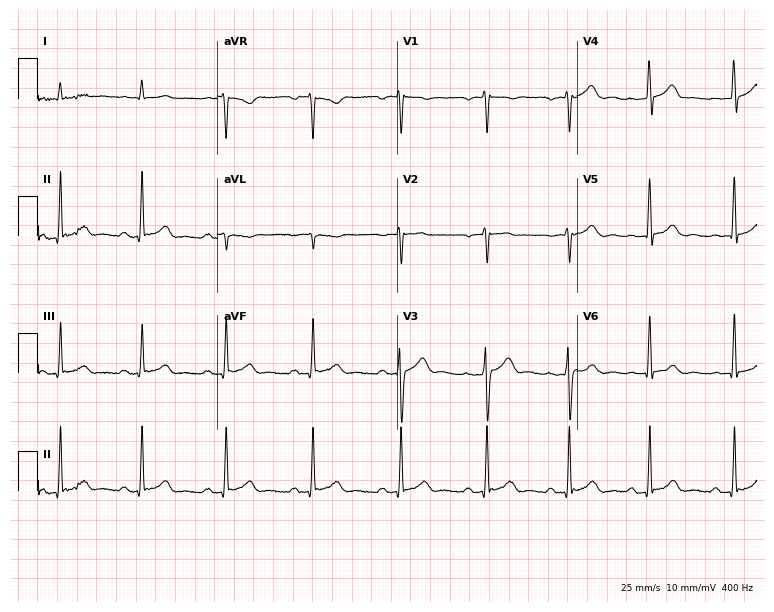
12-lead ECG from a 61-year-old male (7.3-second recording at 400 Hz). Recorded interpretation: within normal limits.